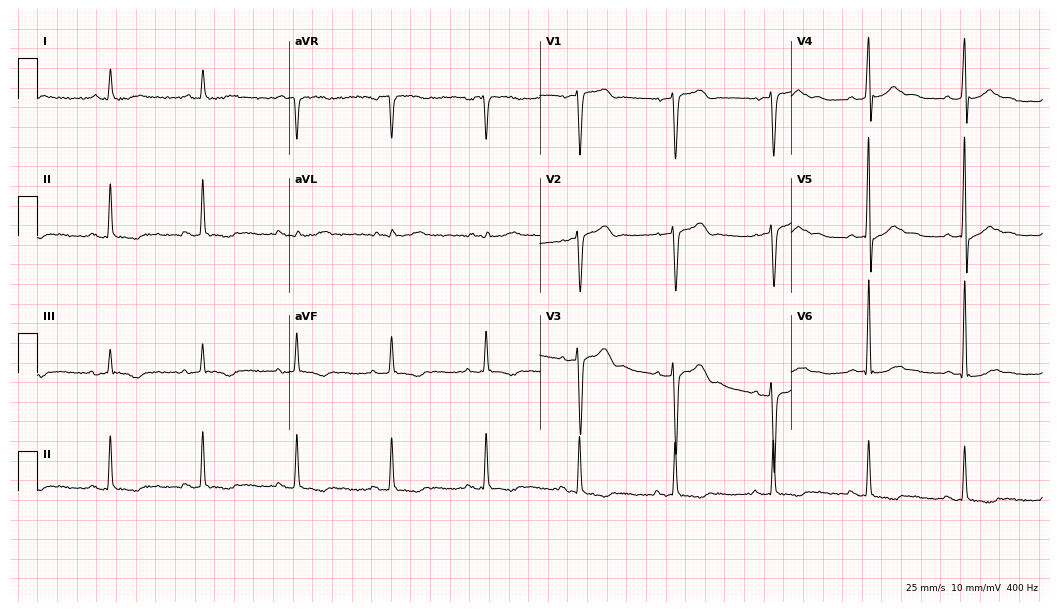
ECG (10.2-second recording at 400 Hz) — a 53-year-old male. Screened for six findings — first-degree AV block, right bundle branch block, left bundle branch block, sinus bradycardia, atrial fibrillation, sinus tachycardia — none is recorded. Other findings, if any, are not listed.